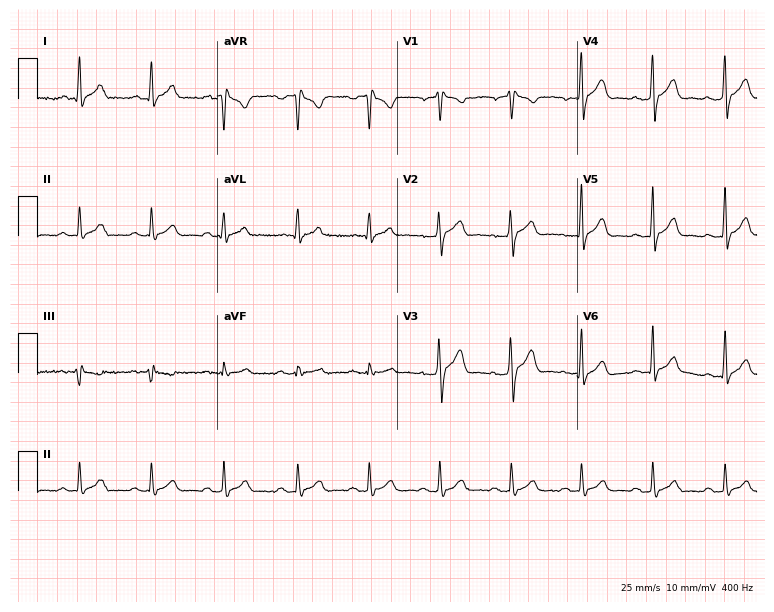
ECG (7.3-second recording at 400 Hz) — a male, 20 years old. Screened for six findings — first-degree AV block, right bundle branch block (RBBB), left bundle branch block (LBBB), sinus bradycardia, atrial fibrillation (AF), sinus tachycardia — none is recorded. Only these six findings were labelled.